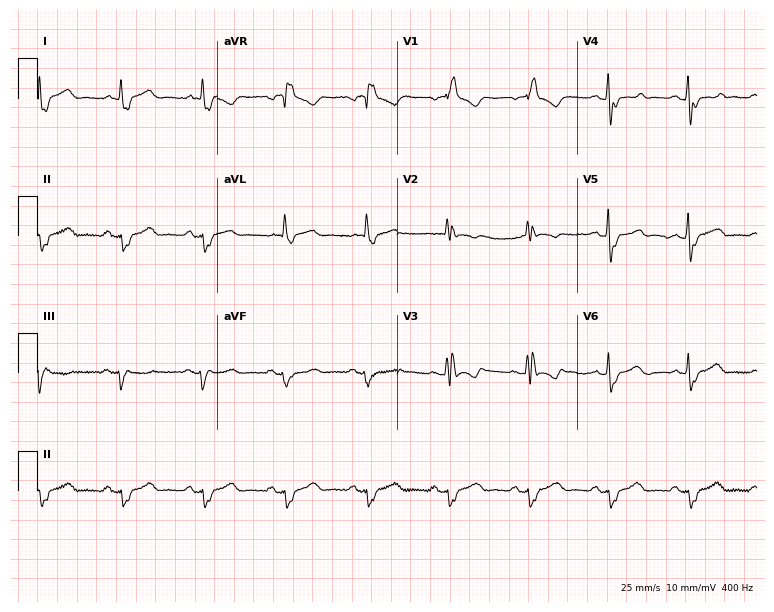
ECG — a 75-year-old woman. Findings include right bundle branch block (RBBB).